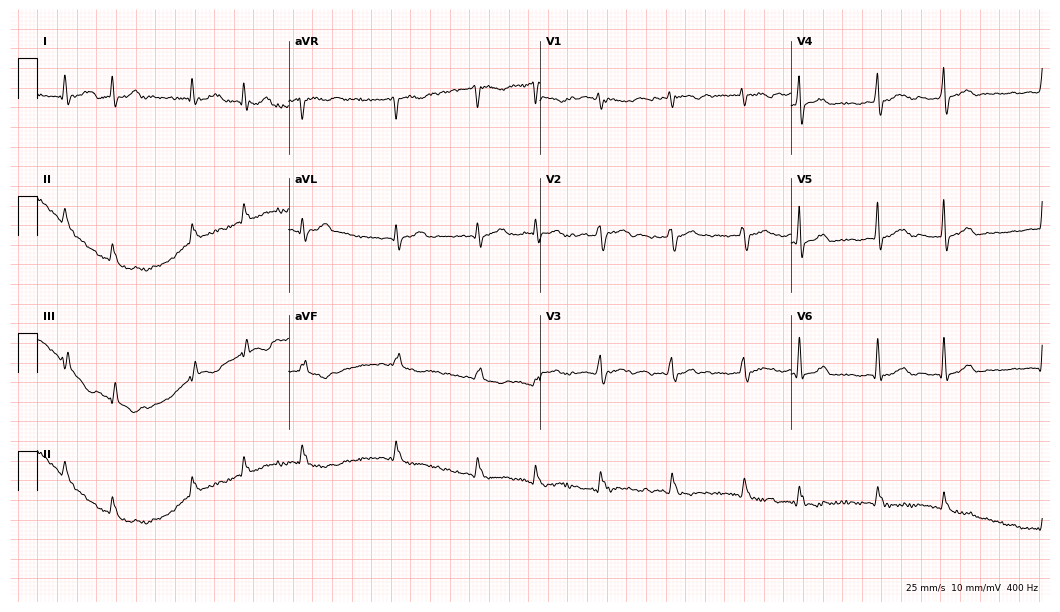
ECG — a 73-year-old male patient. Findings include atrial fibrillation.